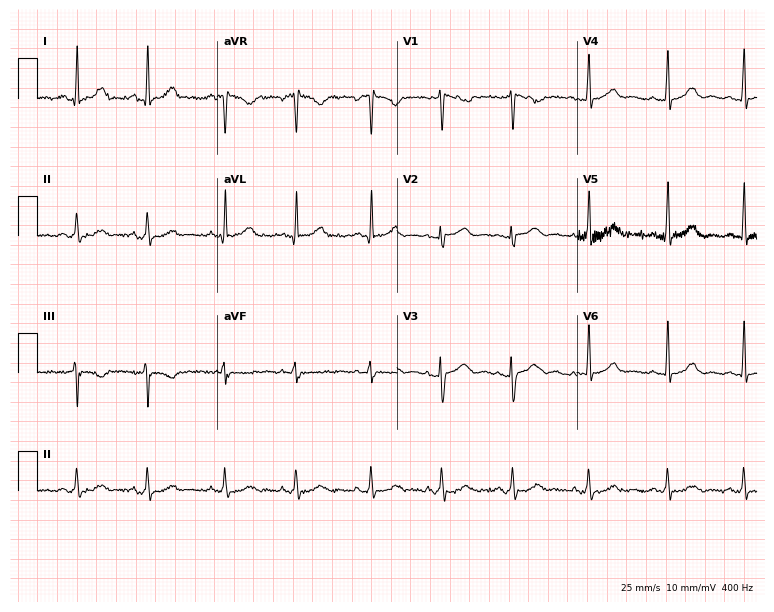
Standard 12-lead ECG recorded from a woman, 33 years old (7.3-second recording at 400 Hz). None of these six findings is recorded: first-degree AV block, right bundle branch block (RBBB), left bundle branch block (LBBB), sinus bradycardia, atrial fibrillation (AF), sinus tachycardia. Findings outside these six are not listed.